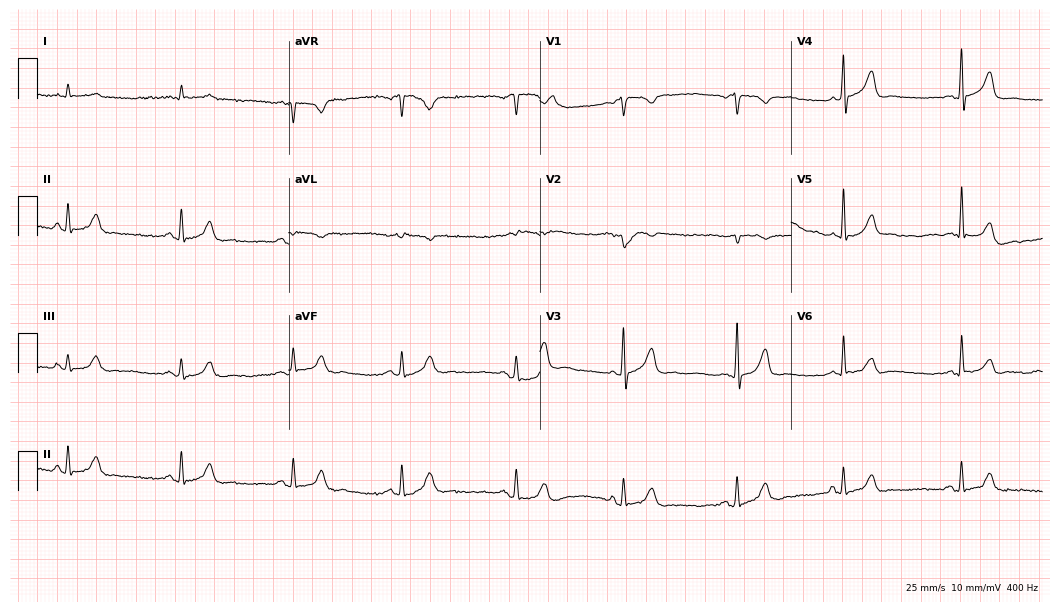
Standard 12-lead ECG recorded from a male, 77 years old (10.2-second recording at 400 Hz). None of these six findings is recorded: first-degree AV block, right bundle branch block, left bundle branch block, sinus bradycardia, atrial fibrillation, sinus tachycardia.